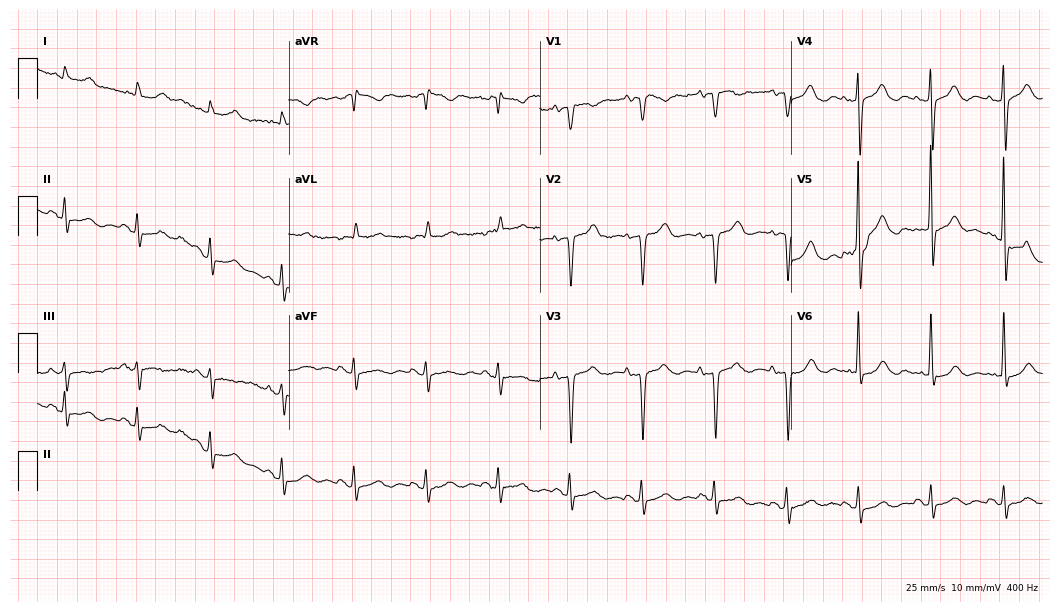
Standard 12-lead ECG recorded from a 79-year-old woman. None of these six findings is recorded: first-degree AV block, right bundle branch block, left bundle branch block, sinus bradycardia, atrial fibrillation, sinus tachycardia.